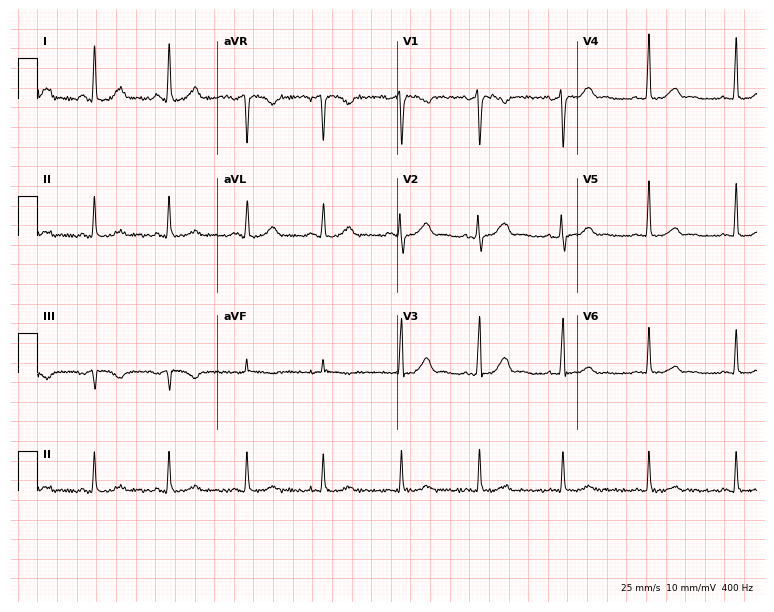
Resting 12-lead electrocardiogram (7.3-second recording at 400 Hz). Patient: a female, 48 years old. Read as a normal ECG.